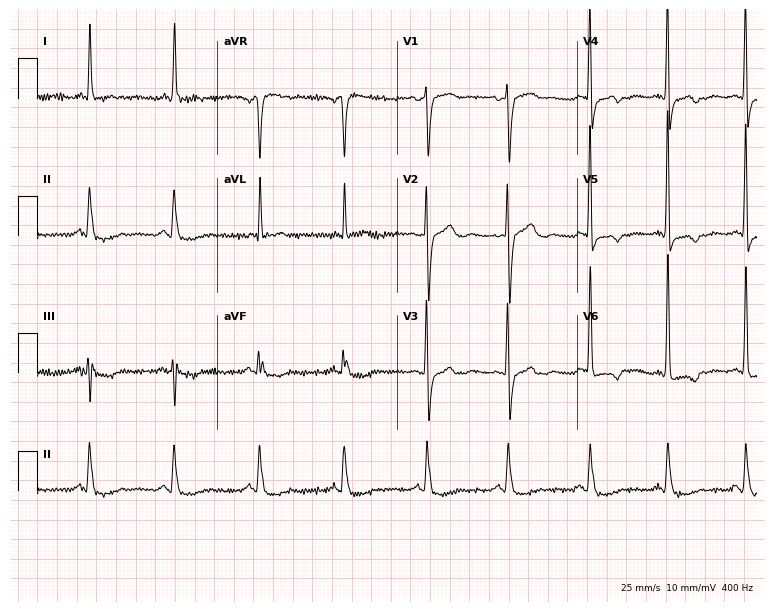
Standard 12-lead ECG recorded from a 71-year-old female (7.3-second recording at 400 Hz). None of these six findings is recorded: first-degree AV block, right bundle branch block (RBBB), left bundle branch block (LBBB), sinus bradycardia, atrial fibrillation (AF), sinus tachycardia. Only these six findings were labelled.